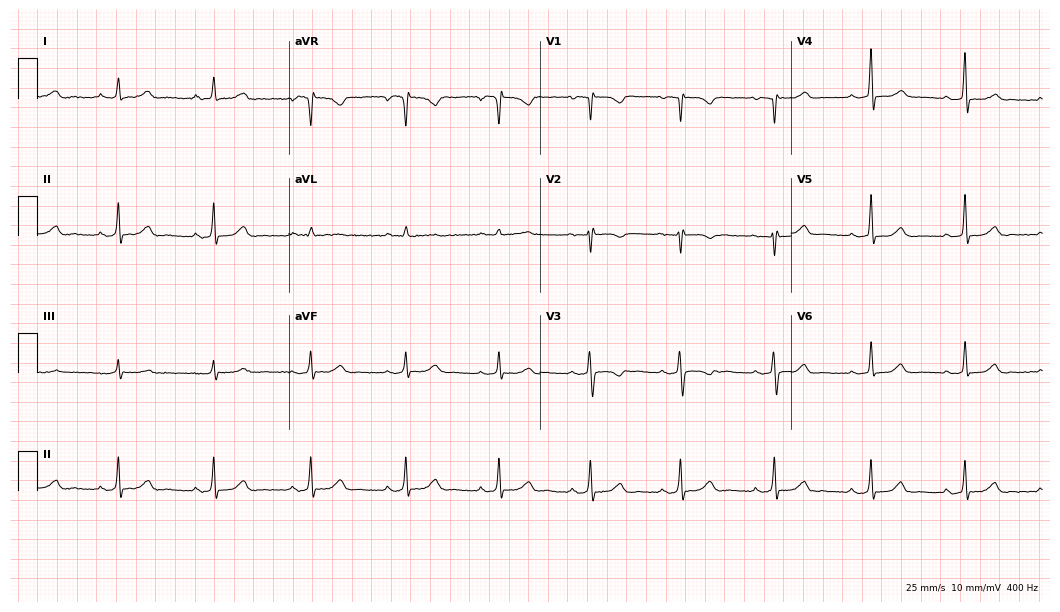
Resting 12-lead electrocardiogram (10.2-second recording at 400 Hz). Patient: a female, 29 years old. None of these six findings is recorded: first-degree AV block, right bundle branch block, left bundle branch block, sinus bradycardia, atrial fibrillation, sinus tachycardia. Other findings, if any, are not listed.